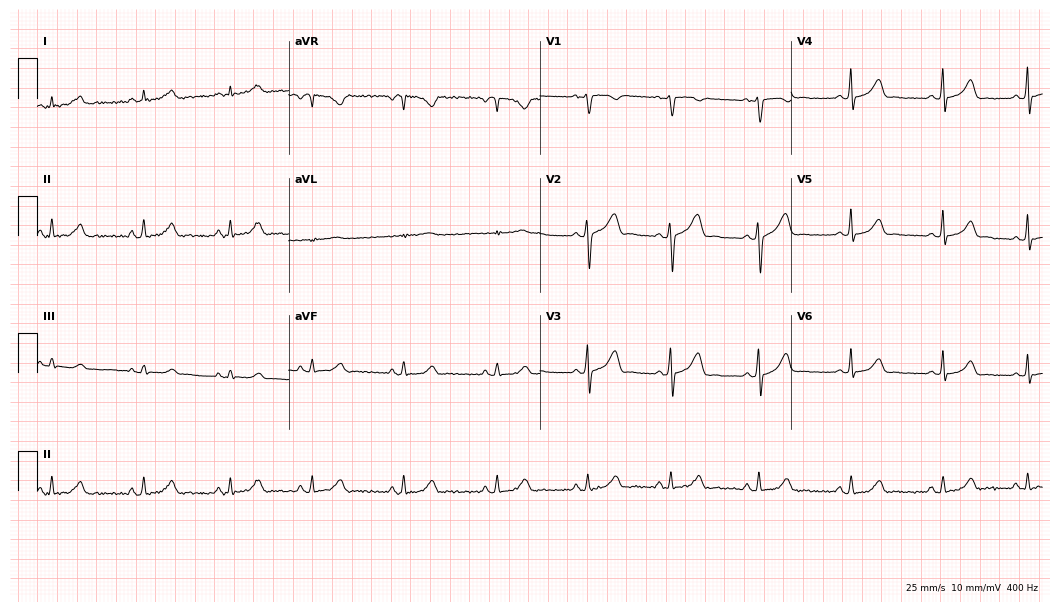
12-lead ECG from a 33-year-old female patient. Recorded interpretation: within normal limits.